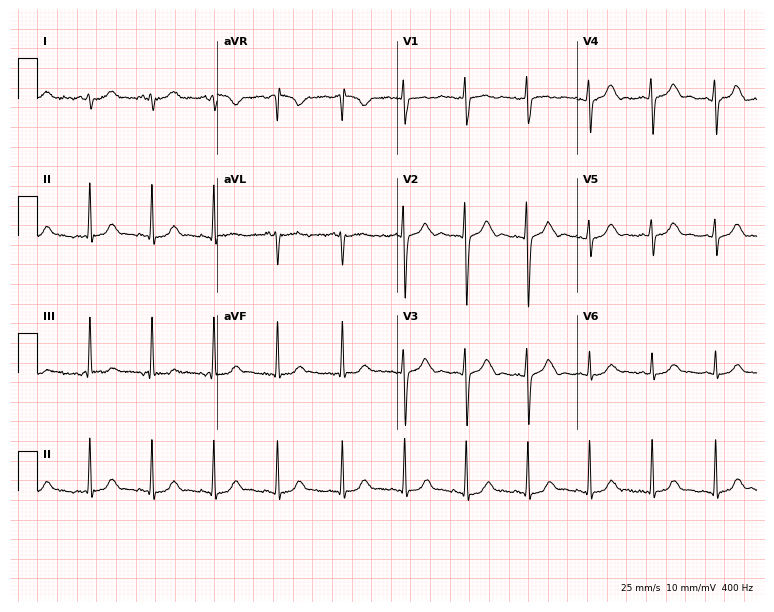
Electrocardiogram, a female, 29 years old. Of the six screened findings (first-degree AV block, right bundle branch block (RBBB), left bundle branch block (LBBB), sinus bradycardia, atrial fibrillation (AF), sinus tachycardia), none is recorded.